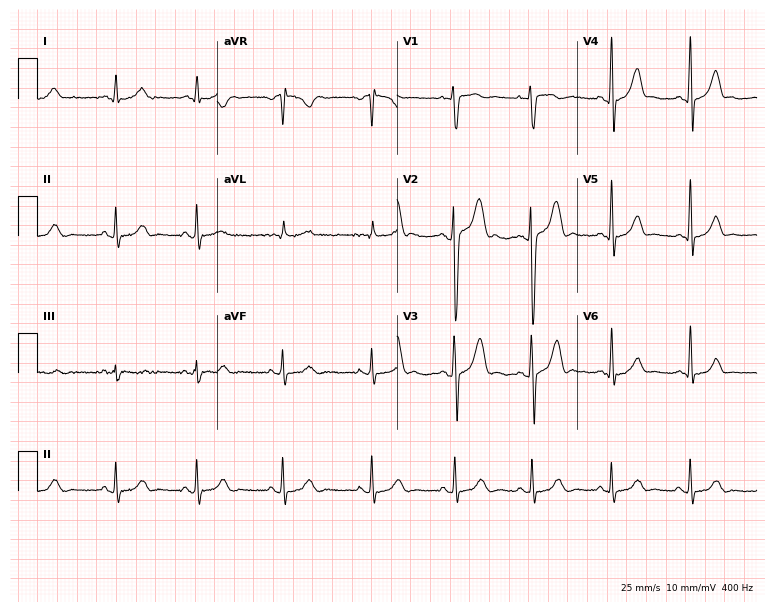
ECG (7.3-second recording at 400 Hz) — a man, 21 years old. Labelled as a normal ECG.